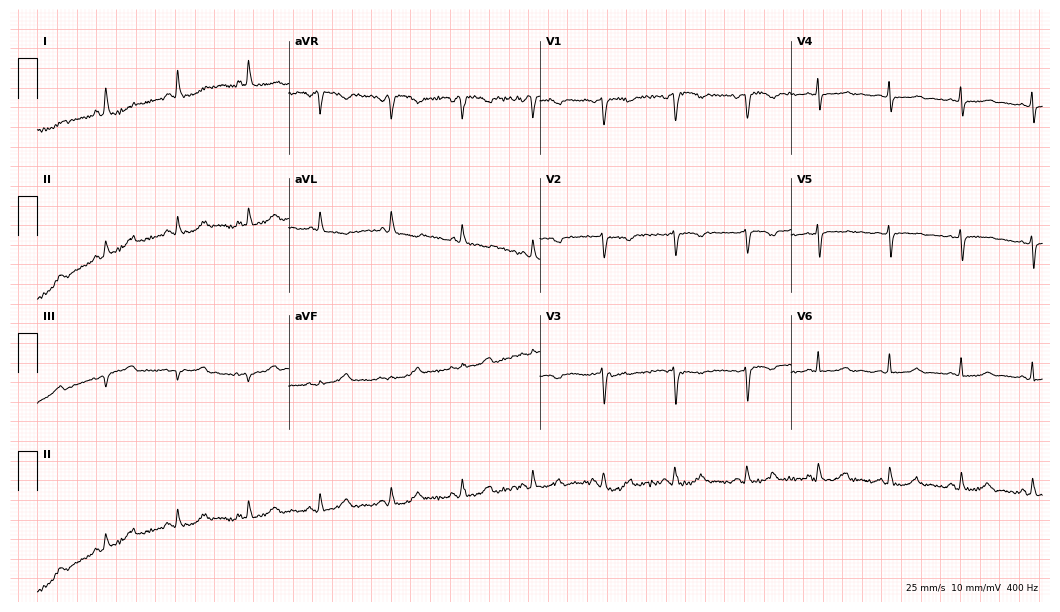
Resting 12-lead electrocardiogram. Patient: a female, 68 years old. Read as a normal ECG.